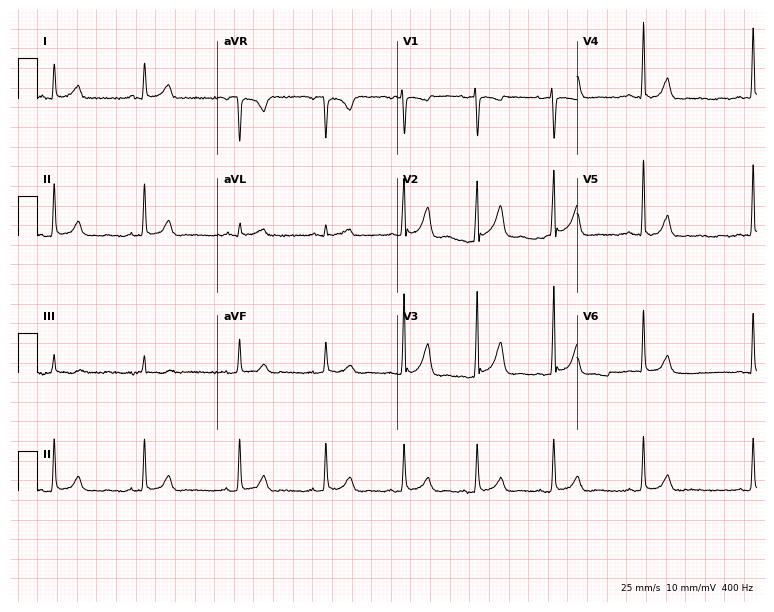
ECG (7.3-second recording at 400 Hz) — a female, 28 years old. Labelled as a normal ECG.